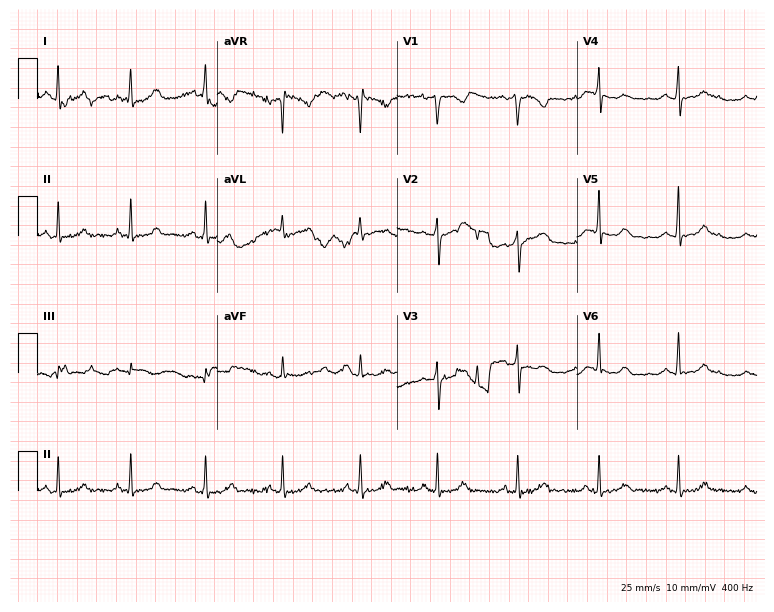
ECG (7.3-second recording at 400 Hz) — a woman, 26 years old. Screened for six findings — first-degree AV block, right bundle branch block, left bundle branch block, sinus bradycardia, atrial fibrillation, sinus tachycardia — none is recorded.